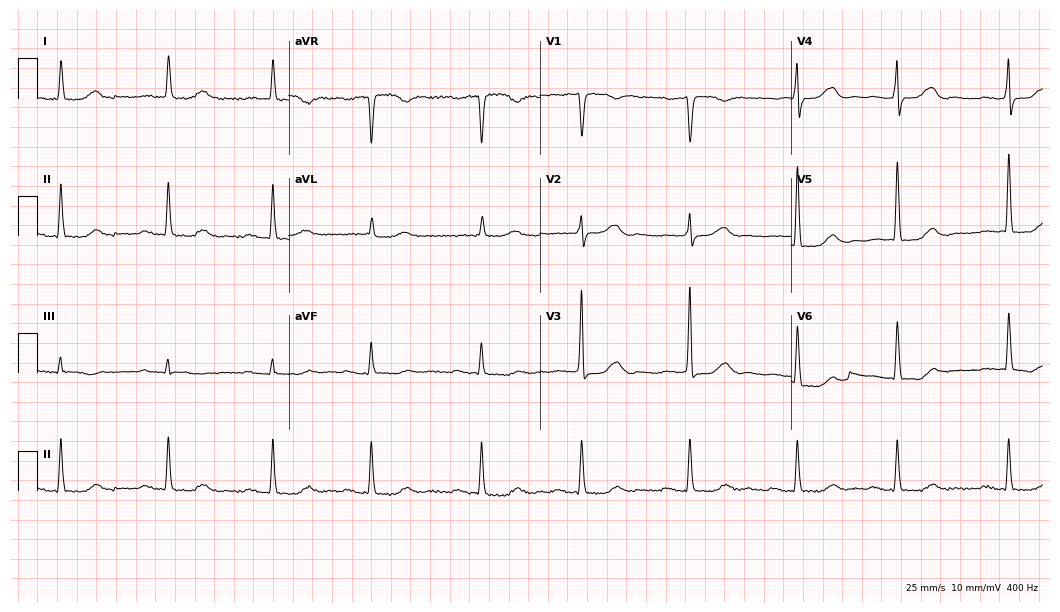
12-lead ECG from a 75-year-old woman. Findings include first-degree AV block.